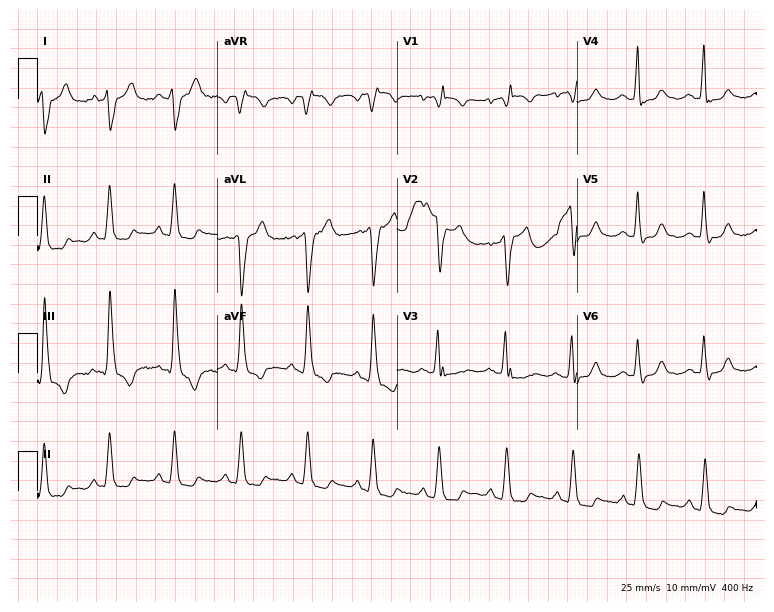
Standard 12-lead ECG recorded from a 68-year-old female. The tracing shows right bundle branch block.